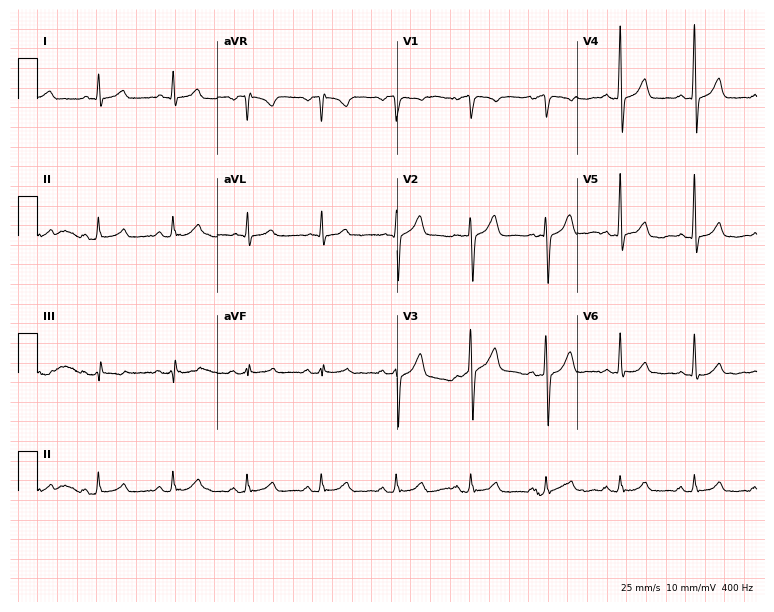
Electrocardiogram (7.3-second recording at 400 Hz), a male, 49 years old. Of the six screened findings (first-degree AV block, right bundle branch block, left bundle branch block, sinus bradycardia, atrial fibrillation, sinus tachycardia), none is recorded.